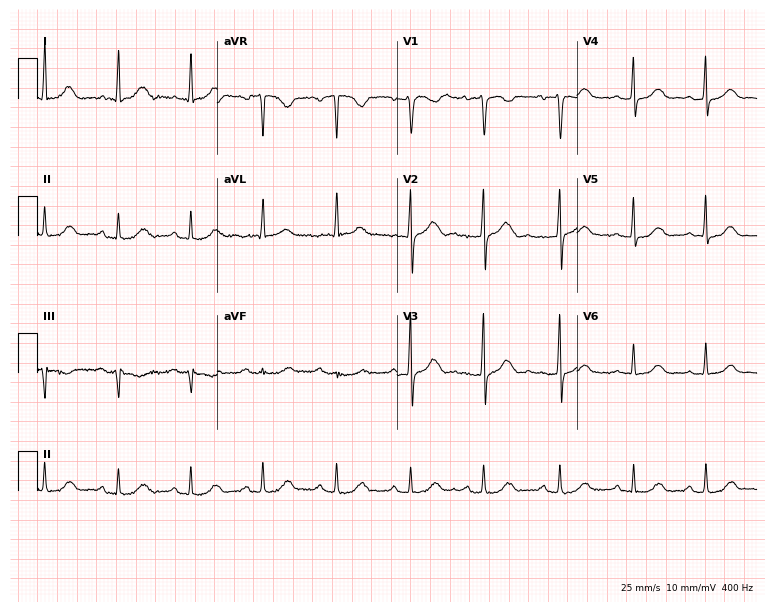
ECG — a 32-year-old woman. Screened for six findings — first-degree AV block, right bundle branch block, left bundle branch block, sinus bradycardia, atrial fibrillation, sinus tachycardia — none is recorded.